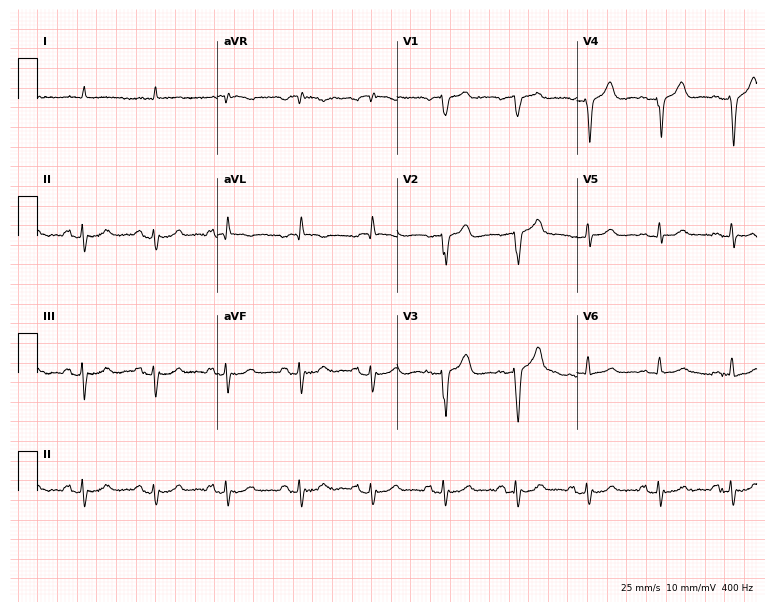
12-lead ECG (7.3-second recording at 400 Hz) from a male patient, 84 years old. Screened for six findings — first-degree AV block, right bundle branch block, left bundle branch block, sinus bradycardia, atrial fibrillation, sinus tachycardia — none is recorded.